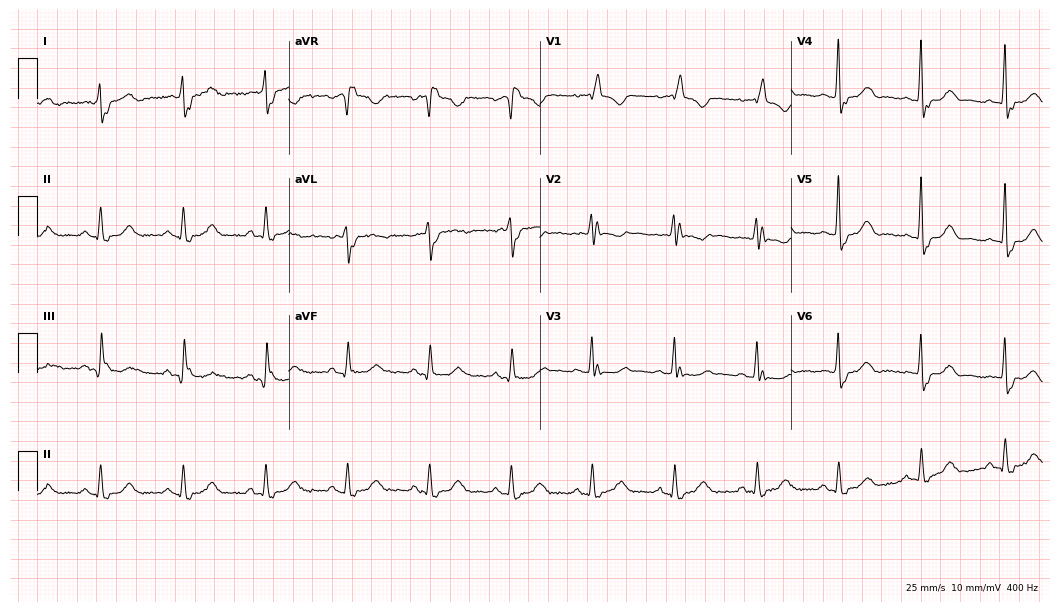
Standard 12-lead ECG recorded from a female, 81 years old (10.2-second recording at 400 Hz). None of these six findings is recorded: first-degree AV block, right bundle branch block, left bundle branch block, sinus bradycardia, atrial fibrillation, sinus tachycardia.